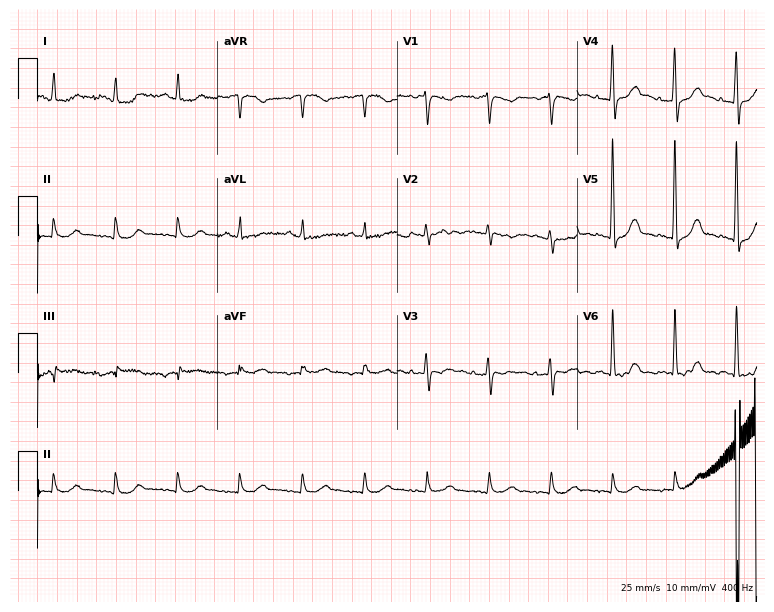
12-lead ECG from a woman, 73 years old (7.3-second recording at 400 Hz). No first-degree AV block, right bundle branch block (RBBB), left bundle branch block (LBBB), sinus bradycardia, atrial fibrillation (AF) or sinus tachycardia recorded for this tracing.